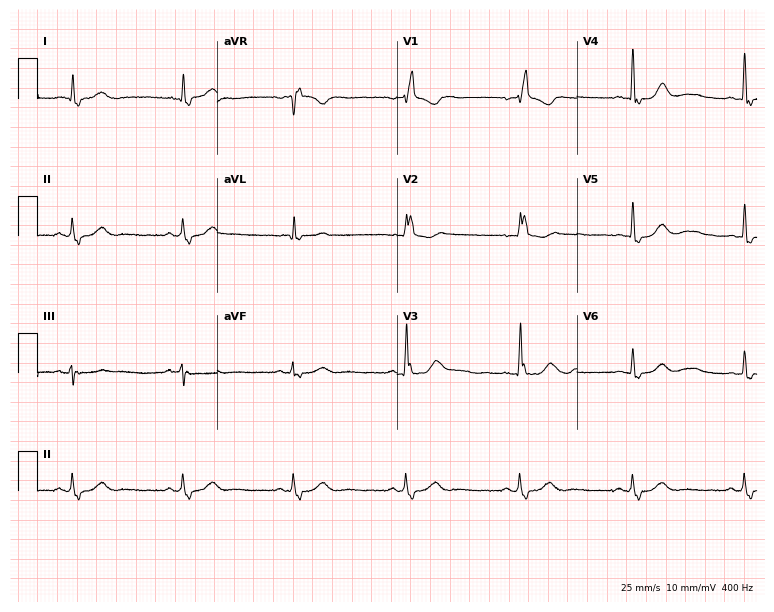
ECG (7.3-second recording at 400 Hz) — a female, 76 years old. Findings include right bundle branch block (RBBB).